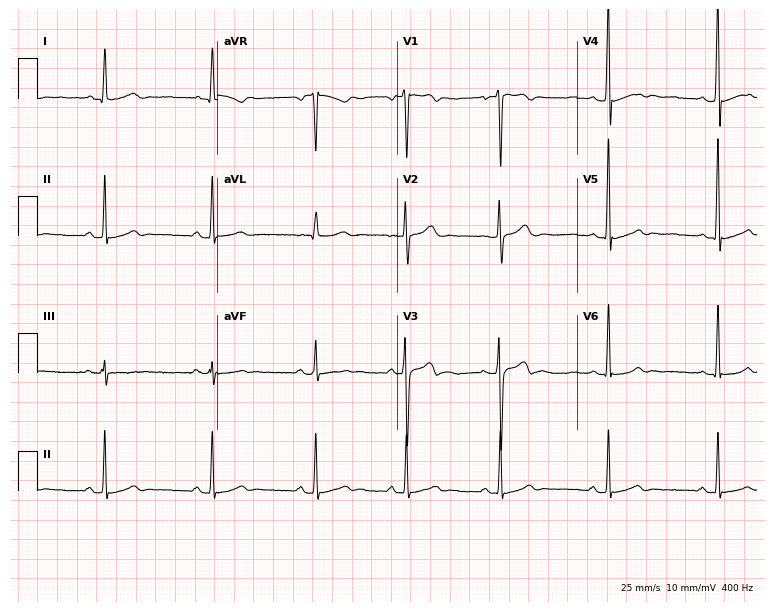
12-lead ECG (7.3-second recording at 400 Hz) from a 21-year-old man. Screened for six findings — first-degree AV block, right bundle branch block, left bundle branch block, sinus bradycardia, atrial fibrillation, sinus tachycardia — none is recorded.